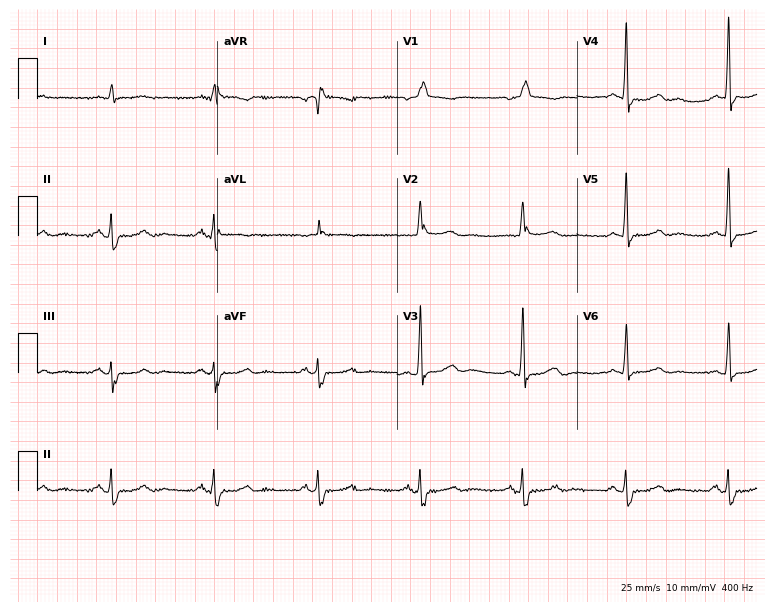
12-lead ECG (7.3-second recording at 400 Hz) from a man, 86 years old. Findings include right bundle branch block.